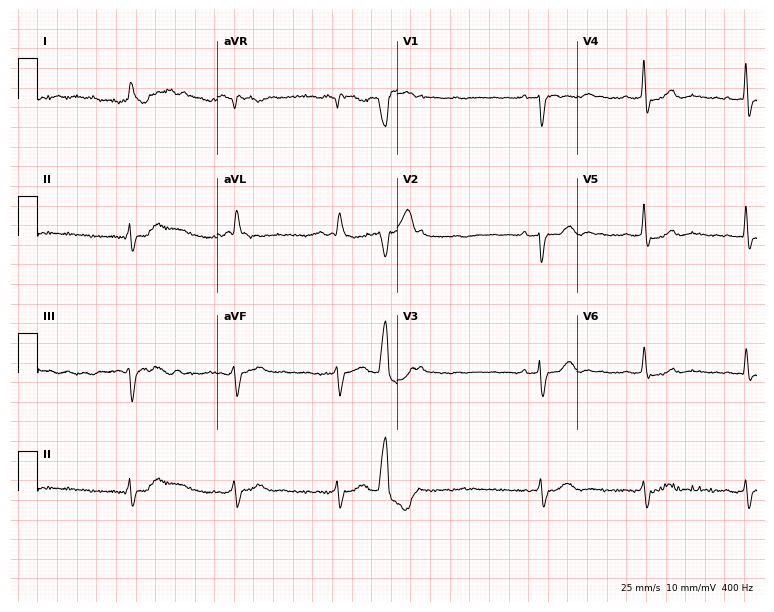
Resting 12-lead electrocardiogram. Patient: an 82-year-old man. None of these six findings is recorded: first-degree AV block, right bundle branch block, left bundle branch block, sinus bradycardia, atrial fibrillation, sinus tachycardia. Only these six findings were labelled.